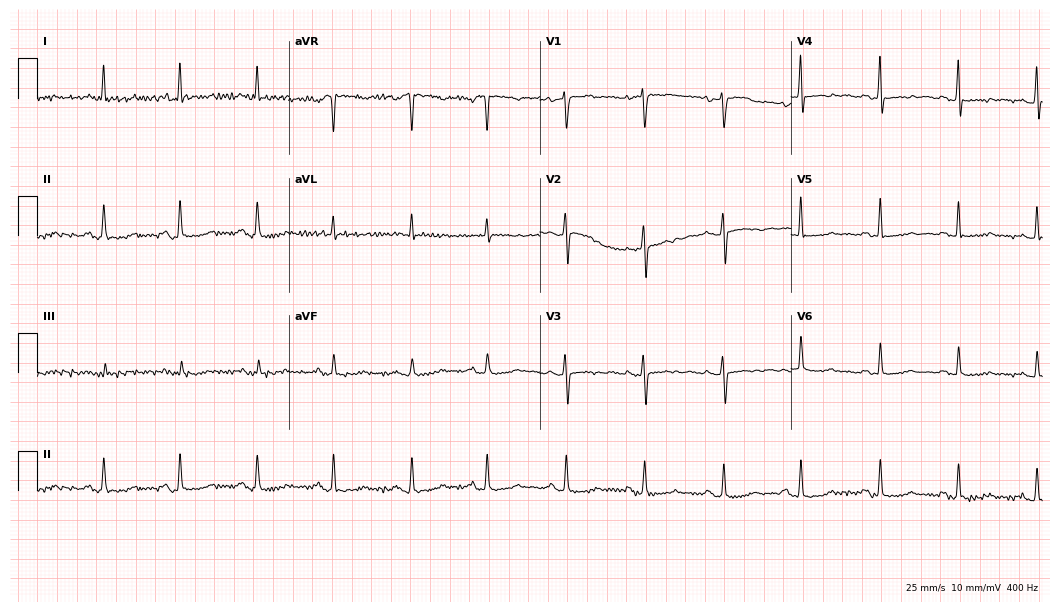
Electrocardiogram, a female patient, 65 years old. Of the six screened findings (first-degree AV block, right bundle branch block, left bundle branch block, sinus bradycardia, atrial fibrillation, sinus tachycardia), none is recorded. Other findings, if any, are not listed.